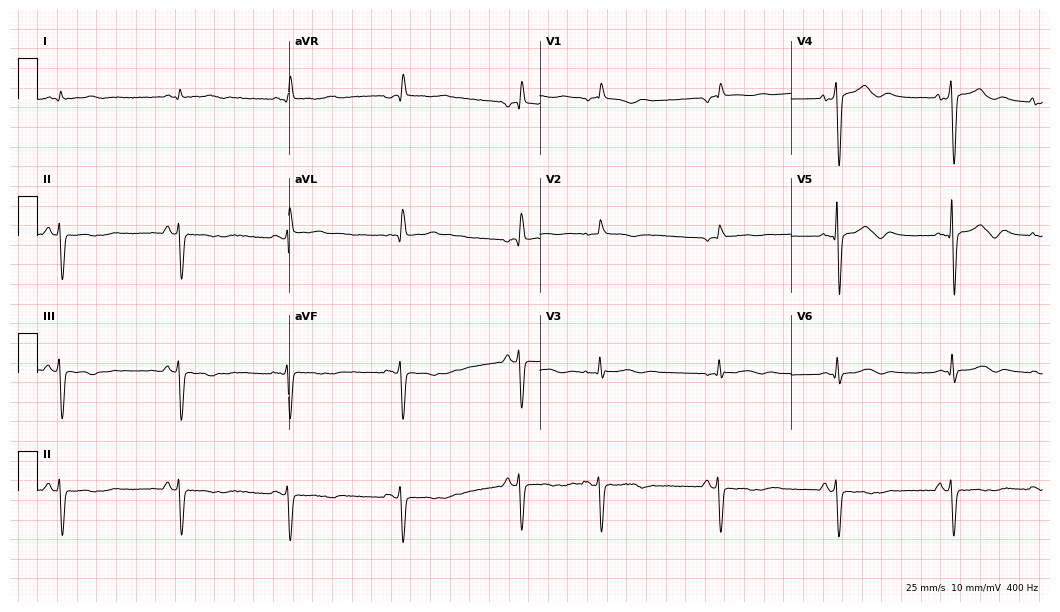
12-lead ECG from a male patient, 66 years old (10.2-second recording at 400 Hz). No first-degree AV block, right bundle branch block (RBBB), left bundle branch block (LBBB), sinus bradycardia, atrial fibrillation (AF) or sinus tachycardia recorded for this tracing. Only these six findings were labelled.